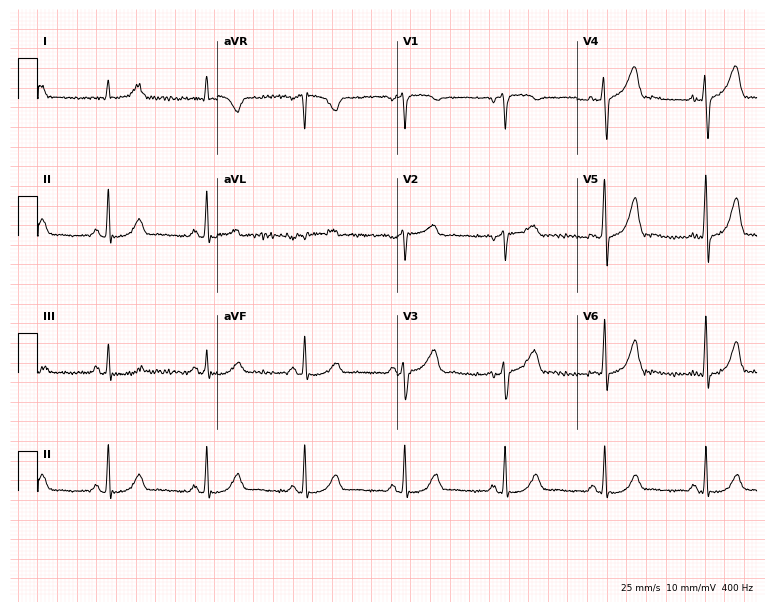
12-lead ECG from a male, 56 years old (7.3-second recording at 400 Hz). Recorded interpretation: within normal limits.